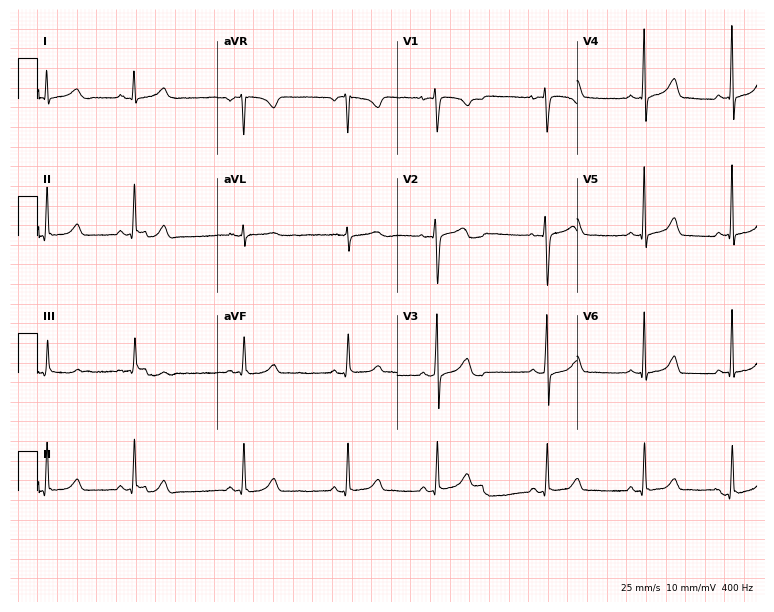
Resting 12-lead electrocardiogram. Patient: a female, 26 years old. Read as a normal ECG.